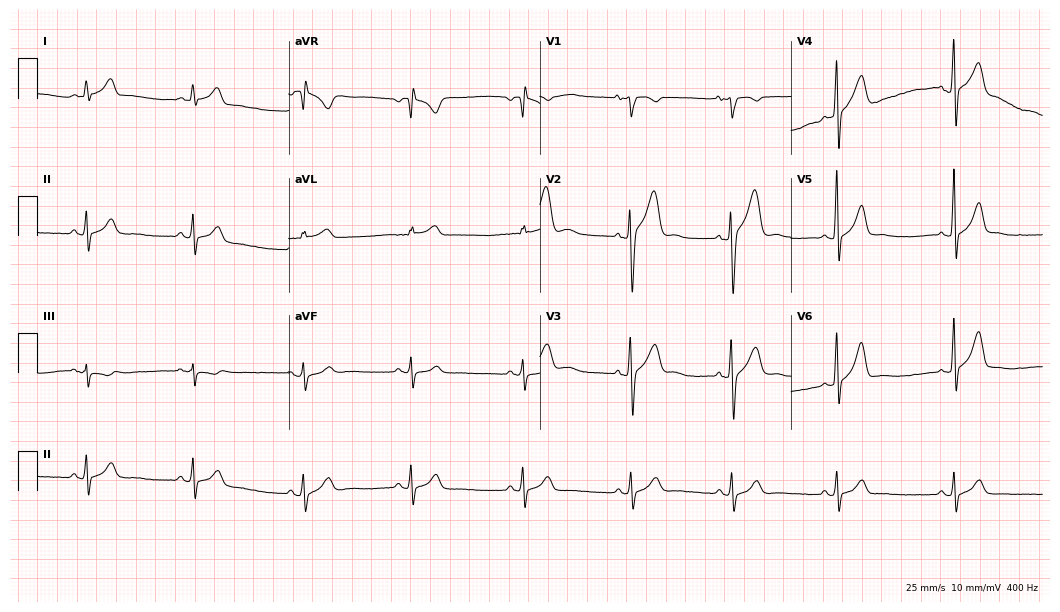
12-lead ECG (10.2-second recording at 400 Hz) from a 29-year-old male. Labelled as a normal ECG.